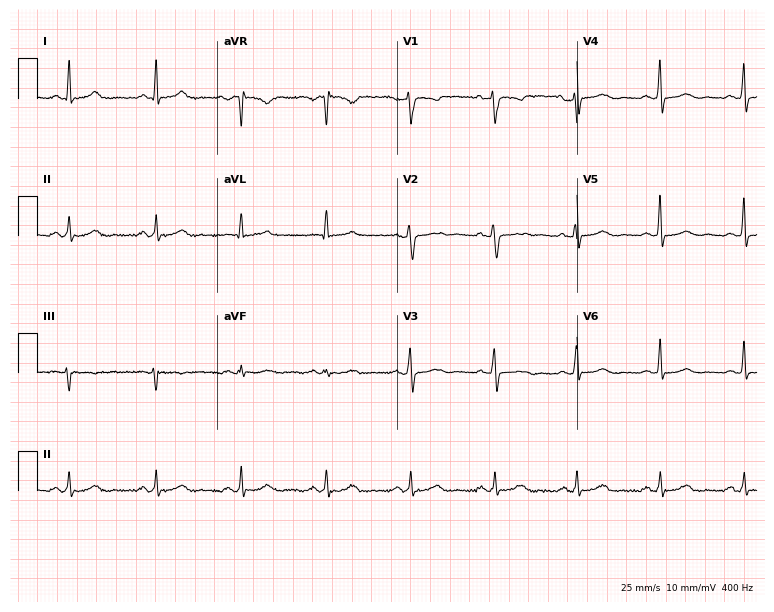
12-lead ECG from a female, 50 years old (7.3-second recording at 400 Hz). No first-degree AV block, right bundle branch block, left bundle branch block, sinus bradycardia, atrial fibrillation or sinus tachycardia recorded for this tracing.